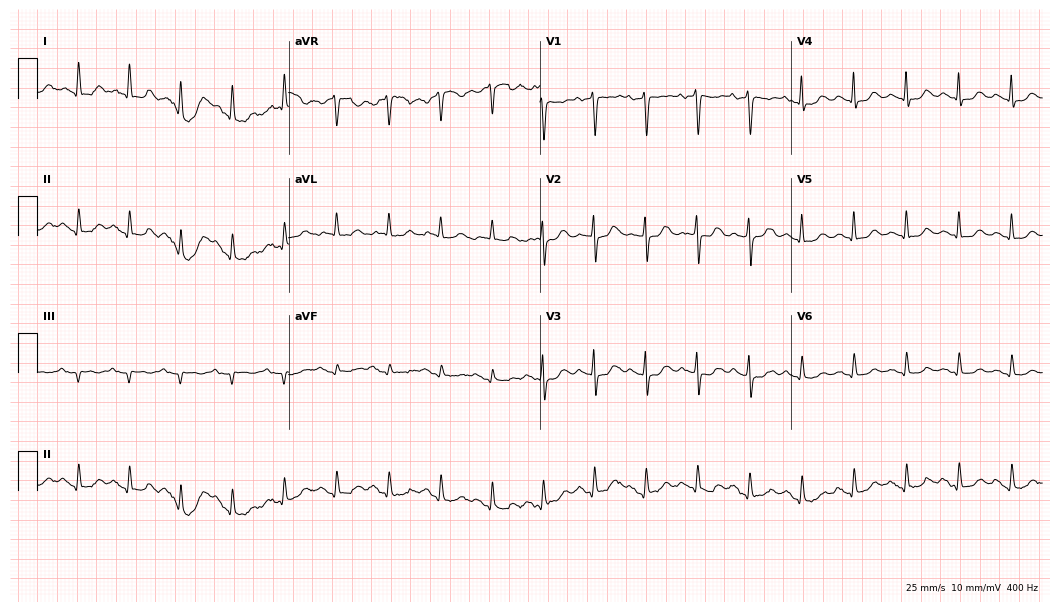
Electrocardiogram, a 72-year-old woman. Interpretation includes sinus tachycardia (a sinus rate of 100 beats per minute or more).